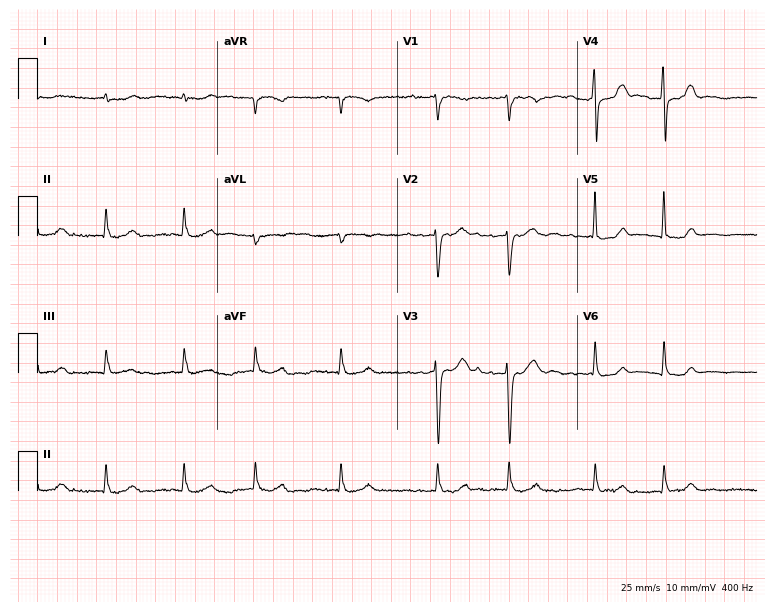
Electrocardiogram (7.3-second recording at 400 Hz), a male, 85 years old. Interpretation includes atrial fibrillation.